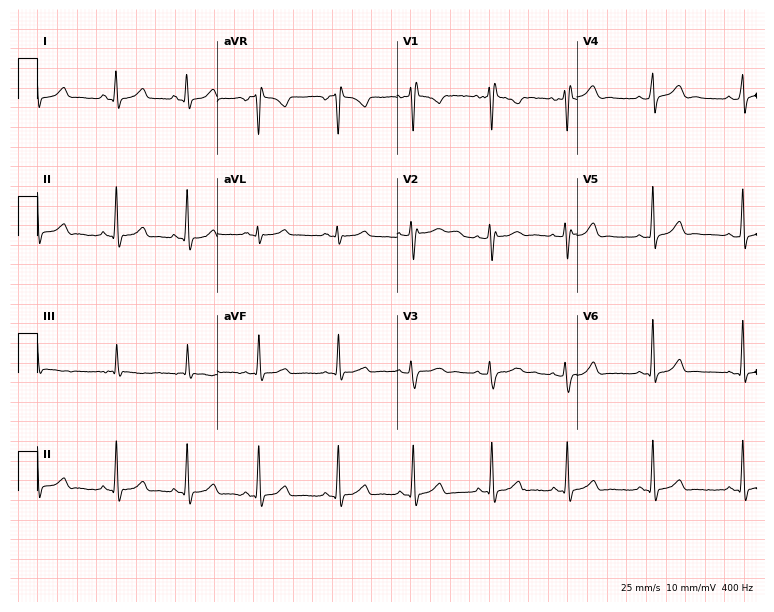
12-lead ECG from a 22-year-old female. Screened for six findings — first-degree AV block, right bundle branch block, left bundle branch block, sinus bradycardia, atrial fibrillation, sinus tachycardia — none is recorded. Findings outside these six are not listed.